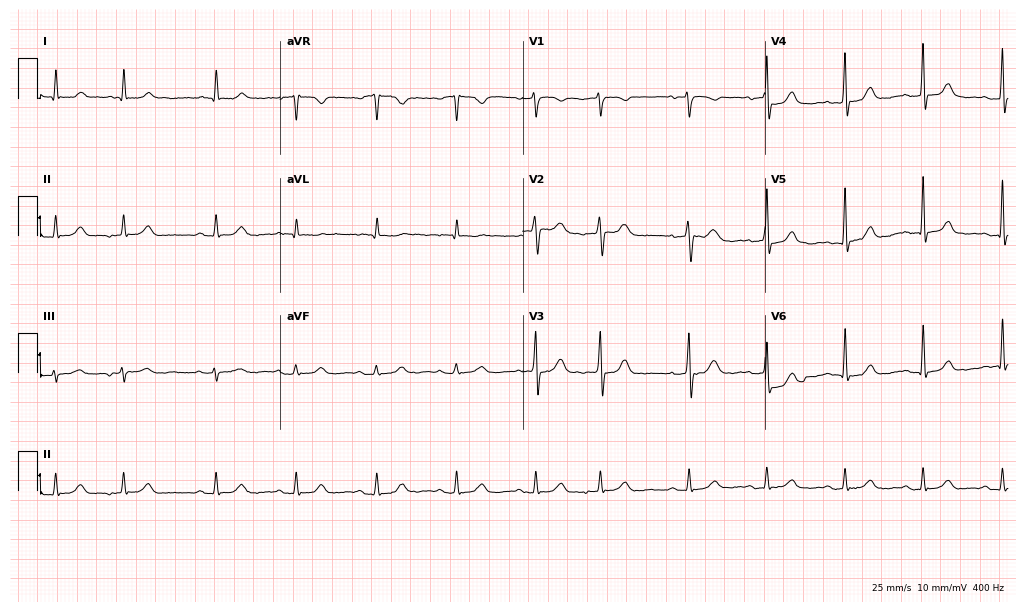
ECG (9.9-second recording at 400 Hz) — a woman, 82 years old. Screened for six findings — first-degree AV block, right bundle branch block (RBBB), left bundle branch block (LBBB), sinus bradycardia, atrial fibrillation (AF), sinus tachycardia — none is recorded. Findings outside these six are not listed.